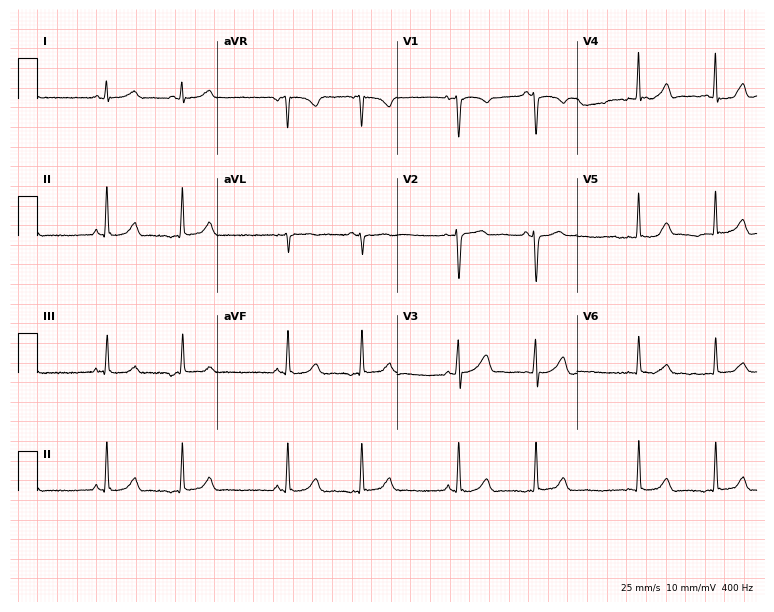
Standard 12-lead ECG recorded from a female patient, 27 years old (7.3-second recording at 400 Hz). Read as a normal ECG.